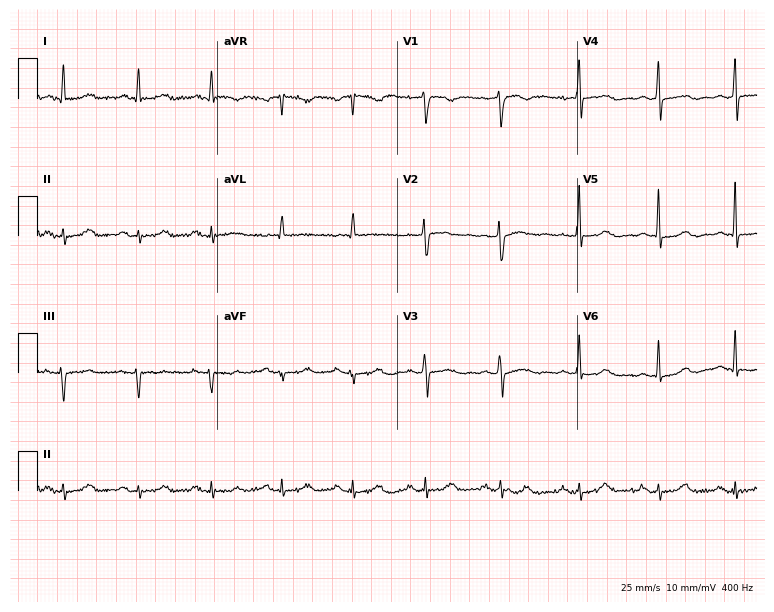
Resting 12-lead electrocardiogram. Patient: a 57-year-old female. None of these six findings is recorded: first-degree AV block, right bundle branch block (RBBB), left bundle branch block (LBBB), sinus bradycardia, atrial fibrillation (AF), sinus tachycardia. Only these six findings were labelled.